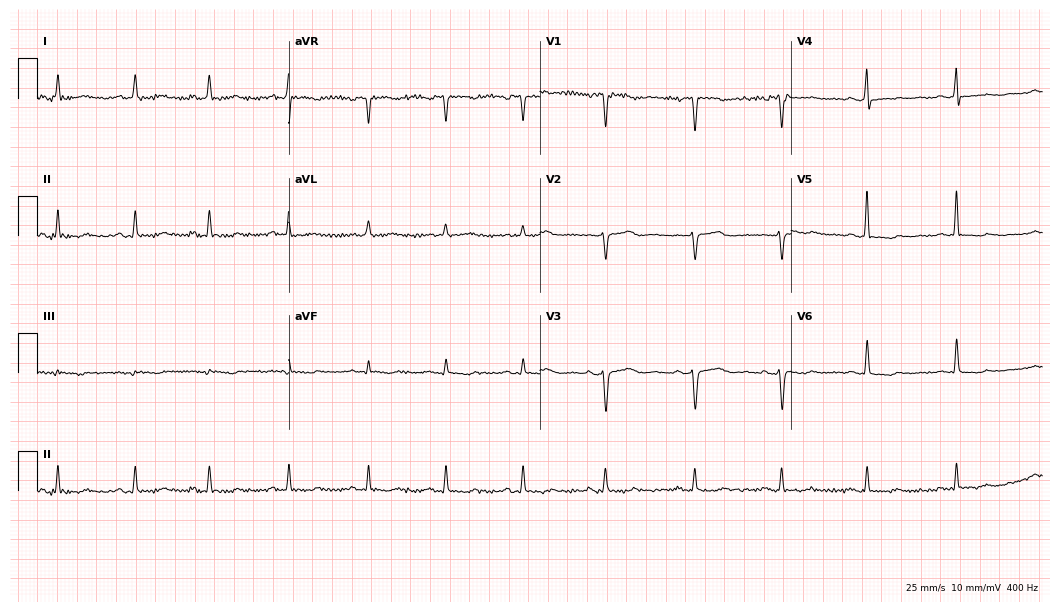
12-lead ECG (10.2-second recording at 400 Hz) from a 55-year-old woman. Screened for six findings — first-degree AV block, right bundle branch block, left bundle branch block, sinus bradycardia, atrial fibrillation, sinus tachycardia — none is recorded. Findings outside these six are not listed.